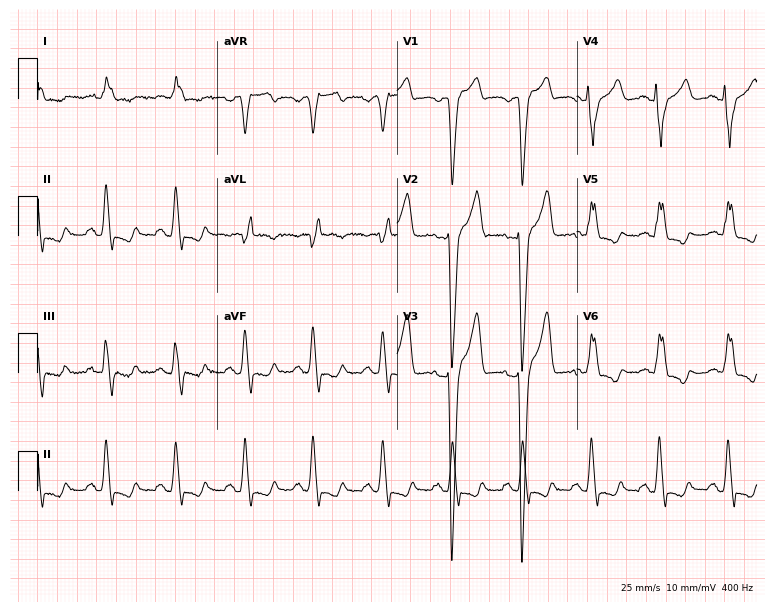
Electrocardiogram, a 75-year-old female. Interpretation includes left bundle branch block.